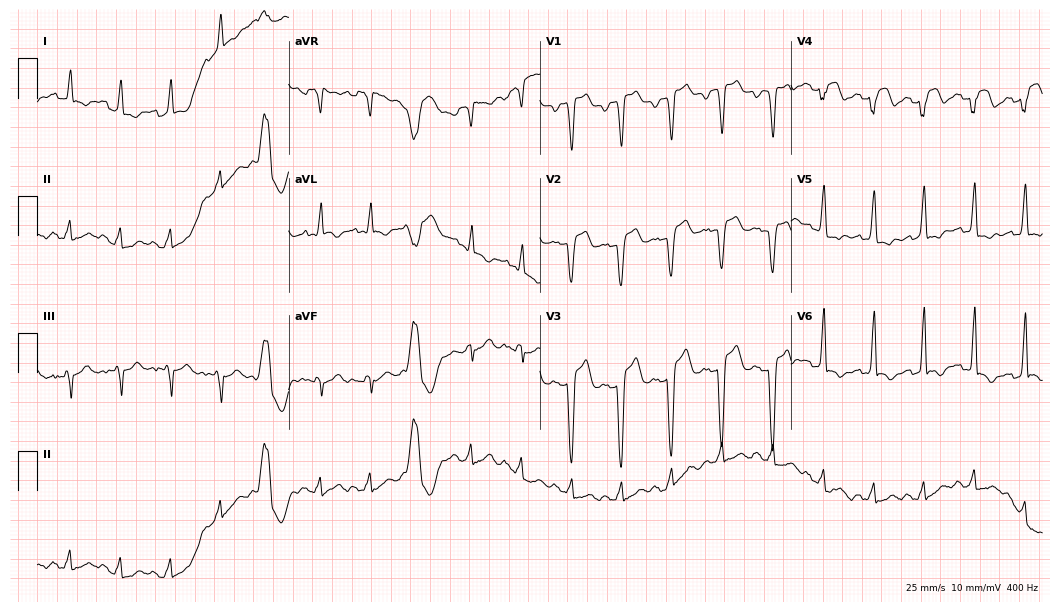
12-lead ECG from a man, 76 years old. Shows sinus tachycardia (a sinus rate of 100 beats per minute or more).